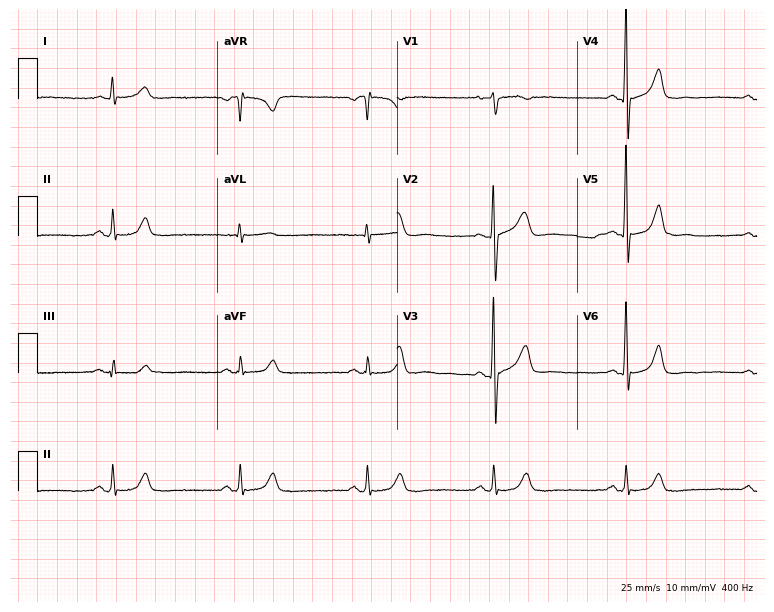
12-lead ECG from a male, 58 years old. Labelled as a normal ECG.